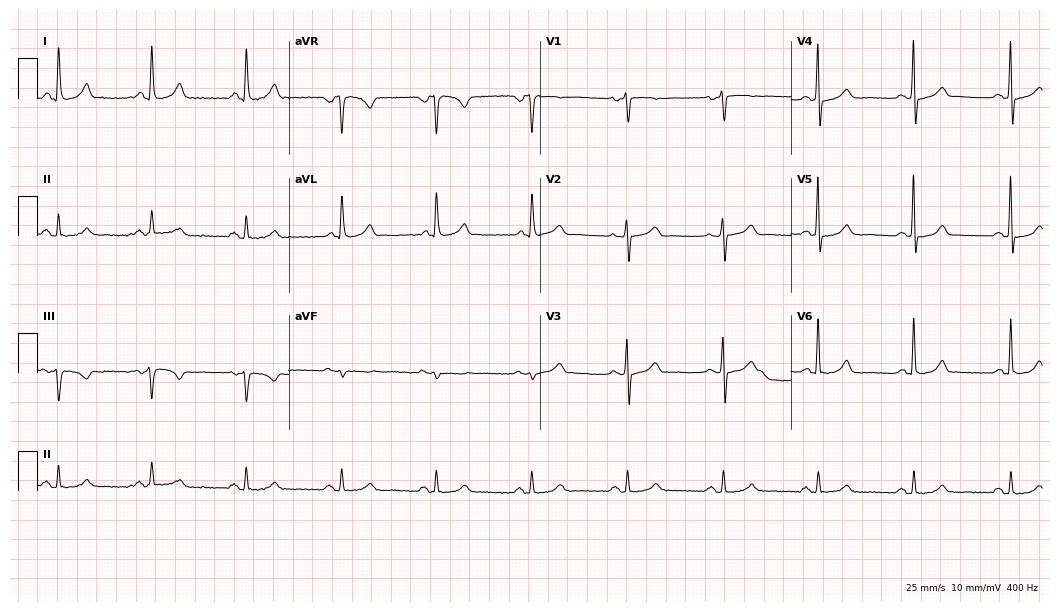
12-lead ECG from a female, 71 years old. Screened for six findings — first-degree AV block, right bundle branch block, left bundle branch block, sinus bradycardia, atrial fibrillation, sinus tachycardia — none is recorded.